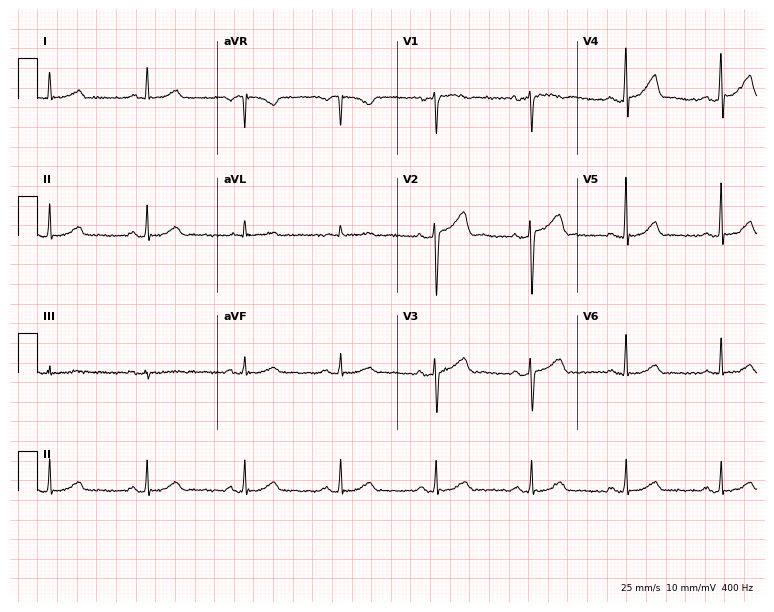
12-lead ECG from a male, 49 years old (7.3-second recording at 400 Hz). Recorded interpretation: within normal limits.